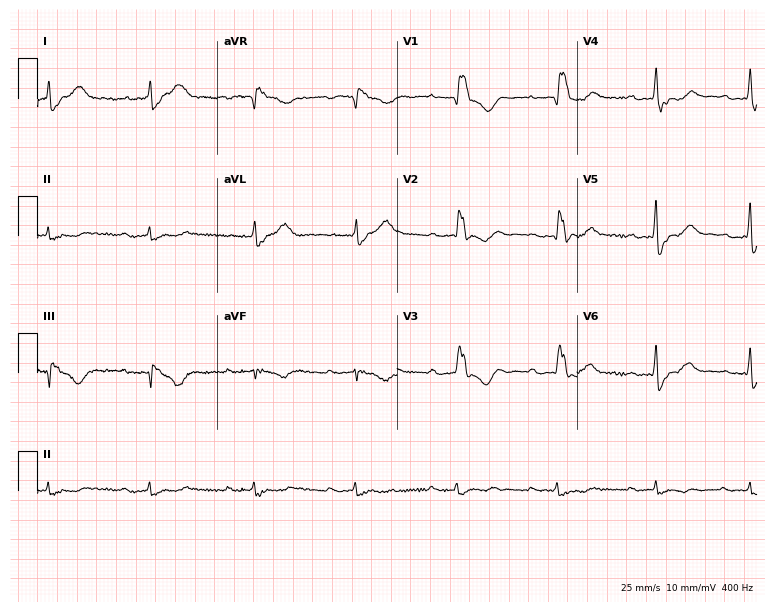
Electrocardiogram, an 85-year-old man. Interpretation includes first-degree AV block, right bundle branch block (RBBB).